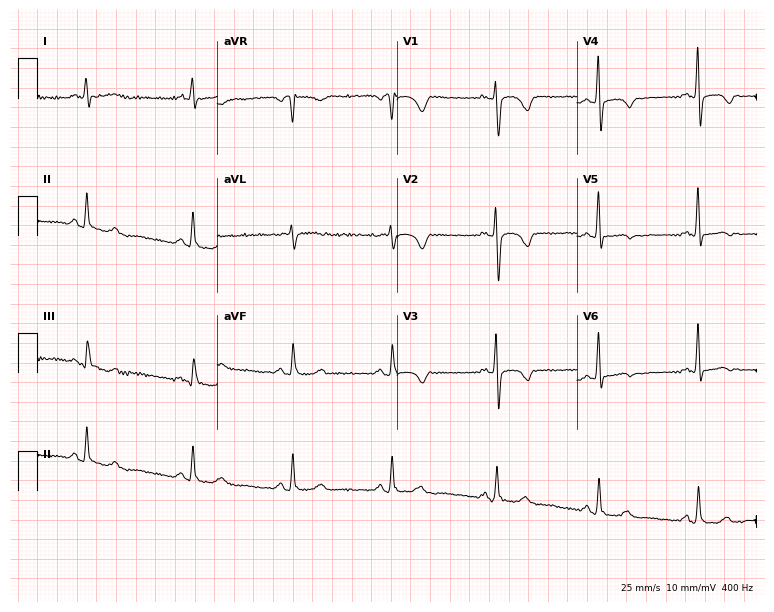
12-lead ECG (7.3-second recording at 400 Hz) from a female, 53 years old. Screened for six findings — first-degree AV block, right bundle branch block, left bundle branch block, sinus bradycardia, atrial fibrillation, sinus tachycardia — none is recorded. Findings outside these six are not listed.